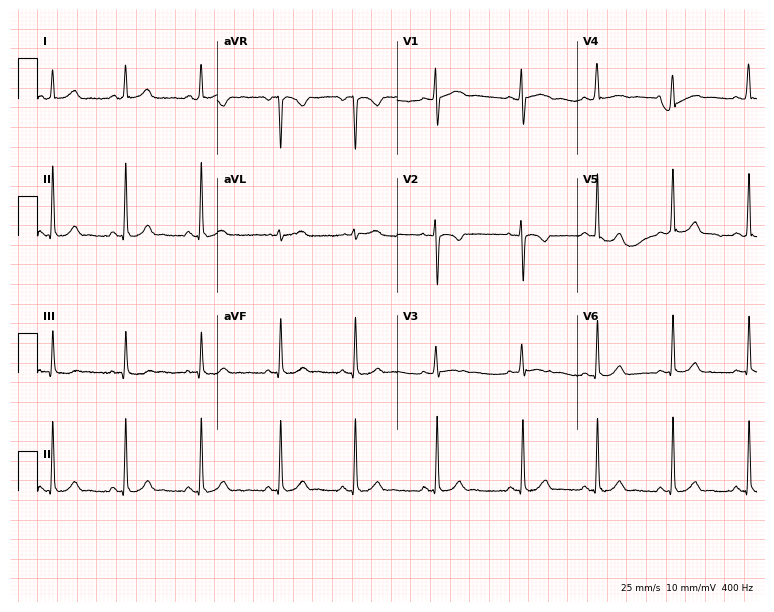
12-lead ECG (7.3-second recording at 400 Hz) from a female patient, 19 years old. Labelled as a normal ECG.